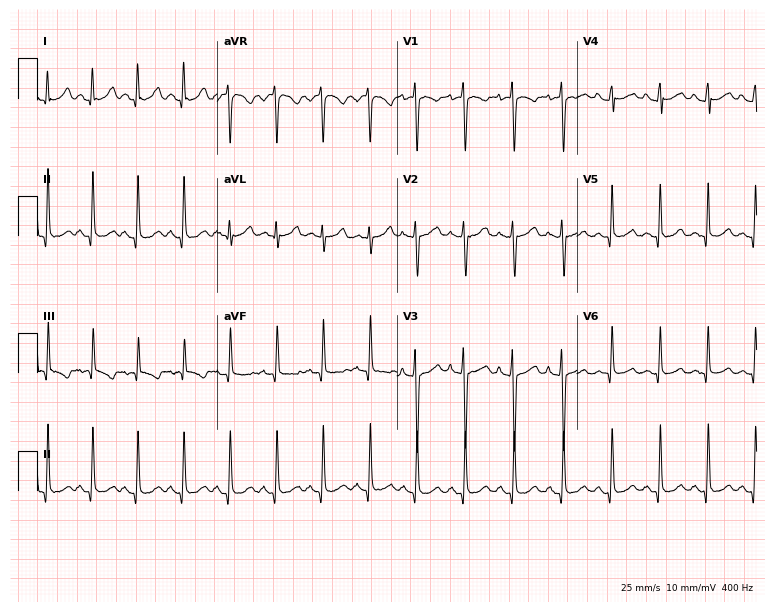
12-lead ECG from a female patient, 20 years old. Screened for six findings — first-degree AV block, right bundle branch block, left bundle branch block, sinus bradycardia, atrial fibrillation, sinus tachycardia — none is recorded. Findings outside these six are not listed.